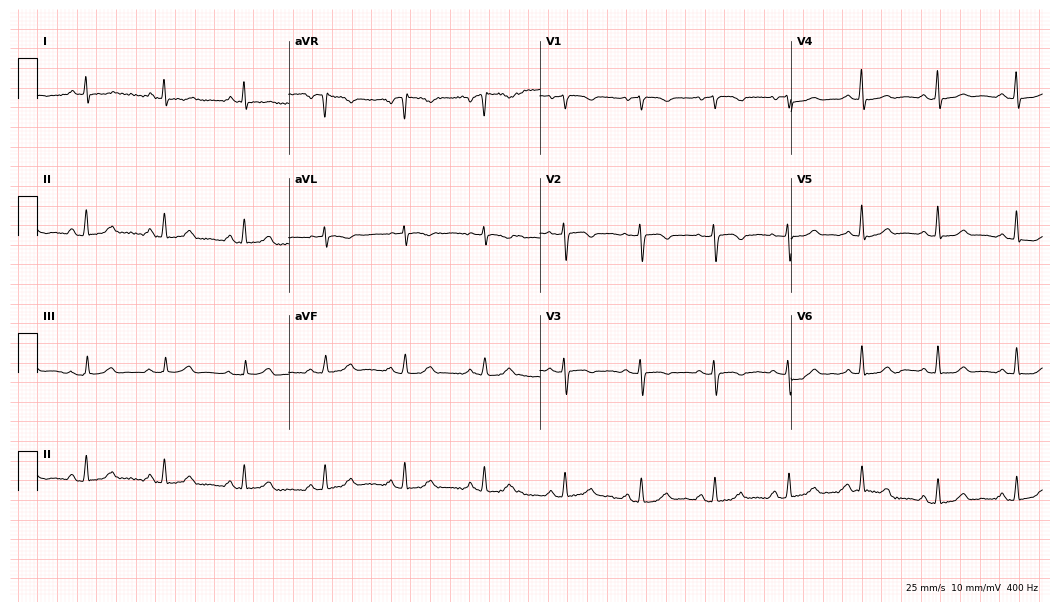
Standard 12-lead ECG recorded from a 58-year-old female patient. None of these six findings is recorded: first-degree AV block, right bundle branch block (RBBB), left bundle branch block (LBBB), sinus bradycardia, atrial fibrillation (AF), sinus tachycardia.